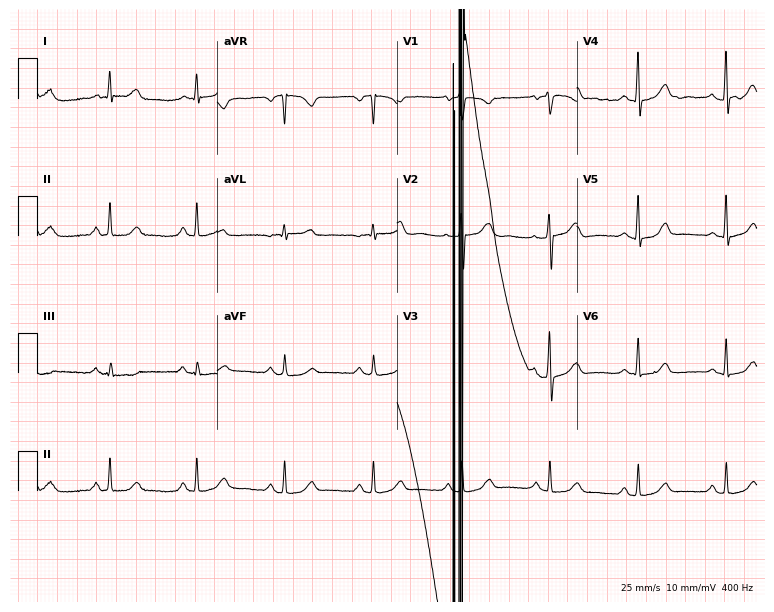
ECG (7.3-second recording at 400 Hz) — a female, 72 years old. Screened for six findings — first-degree AV block, right bundle branch block (RBBB), left bundle branch block (LBBB), sinus bradycardia, atrial fibrillation (AF), sinus tachycardia — none is recorded.